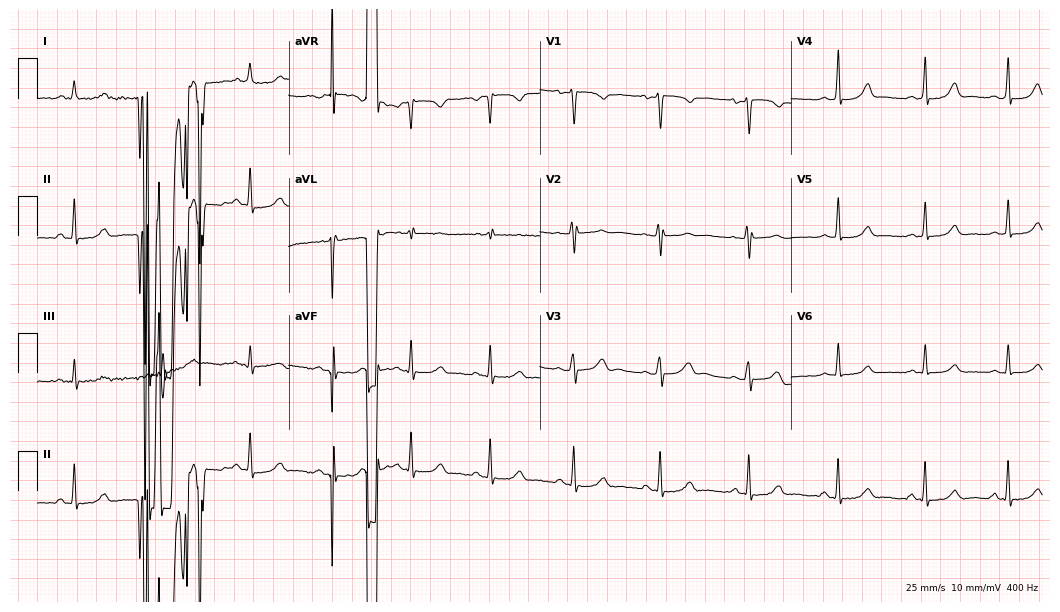
Electrocardiogram (10.2-second recording at 400 Hz), a woman, 24 years old. Of the six screened findings (first-degree AV block, right bundle branch block (RBBB), left bundle branch block (LBBB), sinus bradycardia, atrial fibrillation (AF), sinus tachycardia), none is recorded.